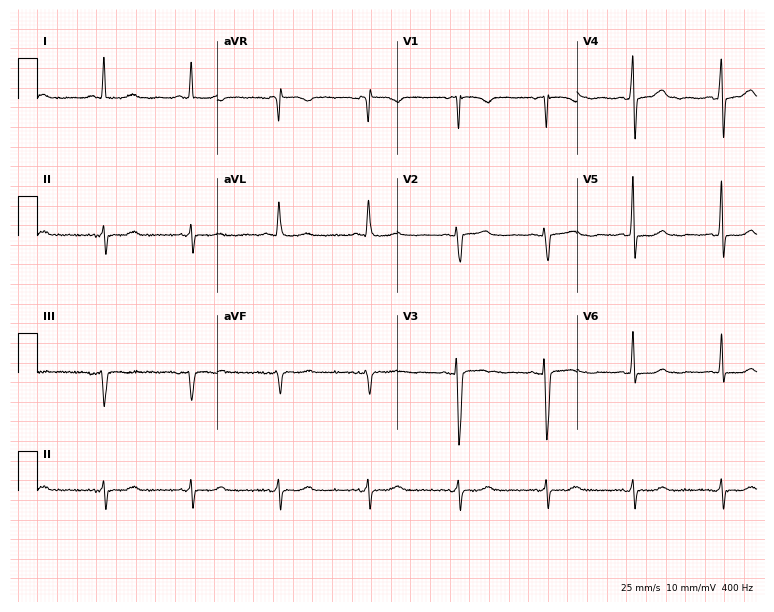
12-lead ECG from an 83-year-old female. Screened for six findings — first-degree AV block, right bundle branch block, left bundle branch block, sinus bradycardia, atrial fibrillation, sinus tachycardia — none is recorded. Other findings, if any, are not listed.